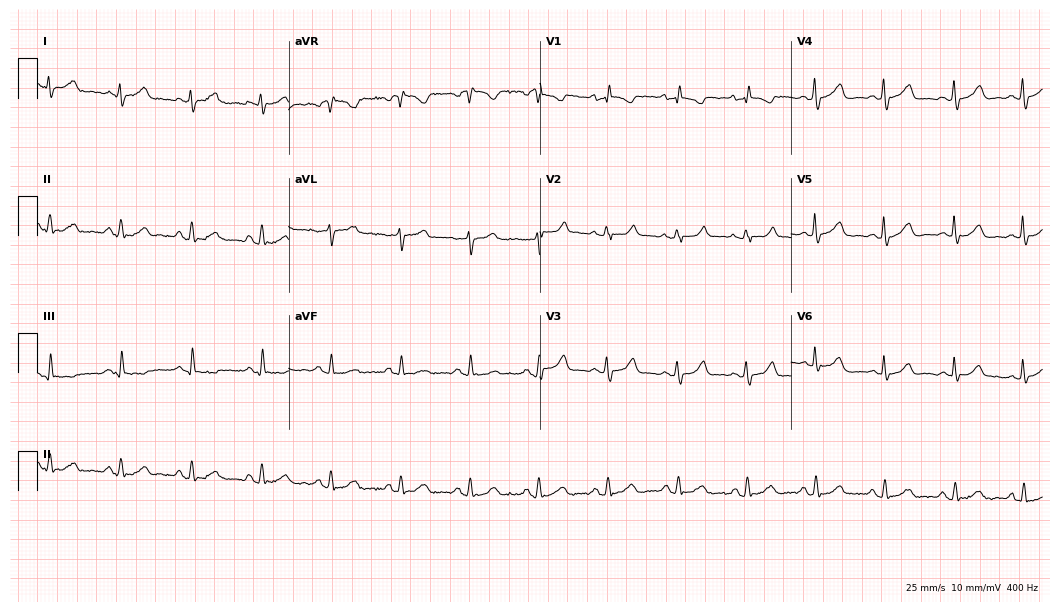
12-lead ECG from a female, 54 years old. No first-degree AV block, right bundle branch block (RBBB), left bundle branch block (LBBB), sinus bradycardia, atrial fibrillation (AF) or sinus tachycardia recorded for this tracing.